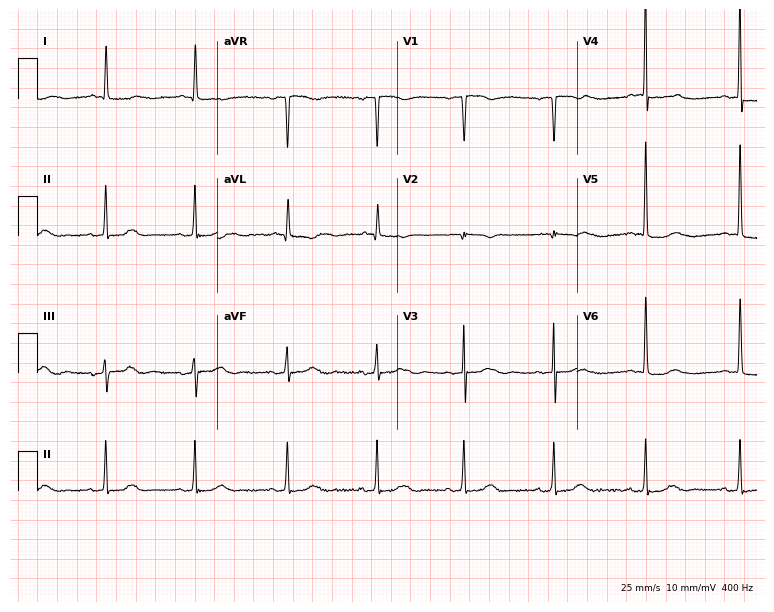
12-lead ECG from an 81-year-old female patient (7.3-second recording at 400 Hz). No first-degree AV block, right bundle branch block, left bundle branch block, sinus bradycardia, atrial fibrillation or sinus tachycardia recorded for this tracing.